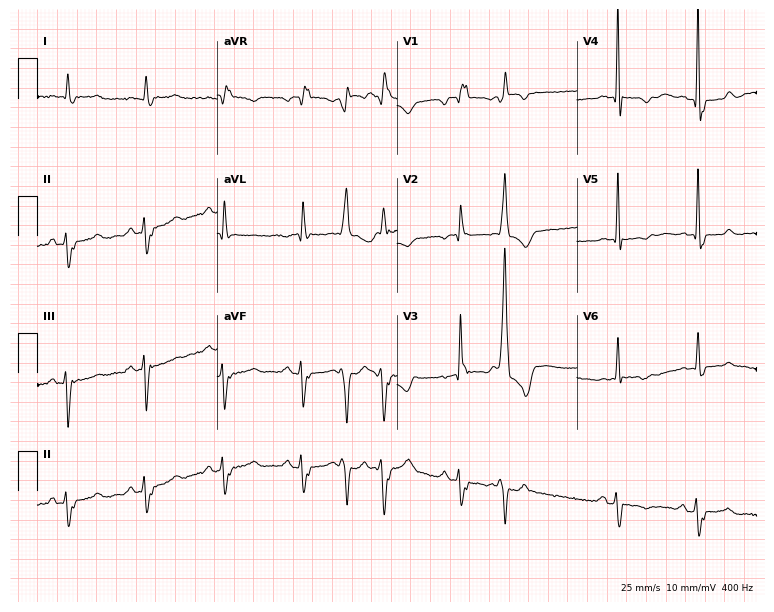
12-lead ECG from an 84-year-old male patient. Shows right bundle branch block.